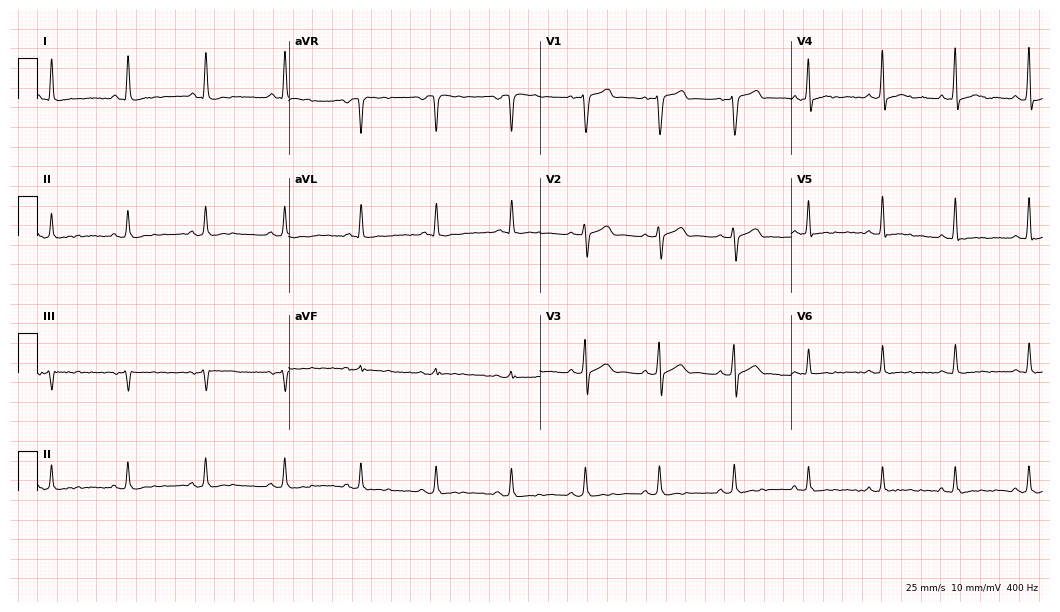
Electrocardiogram (10.2-second recording at 400 Hz), a 48-year-old male. Overall reading on record: normal ECG.